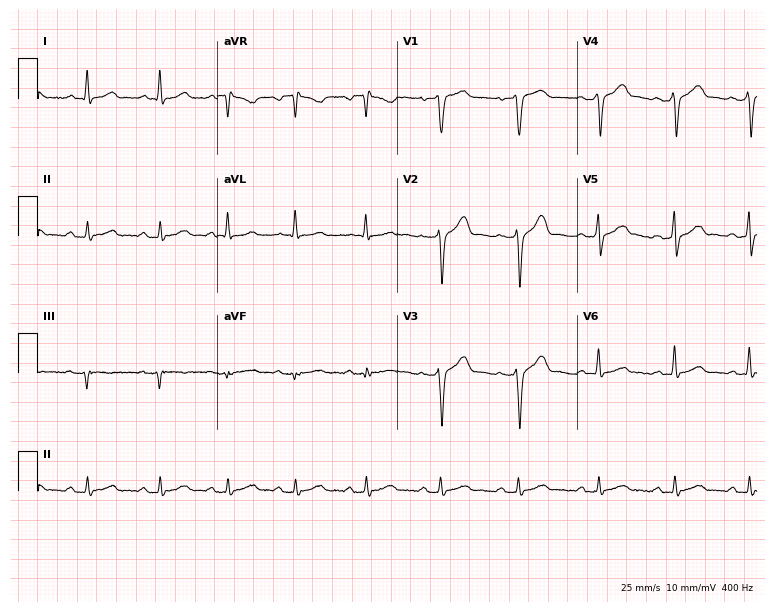
12-lead ECG from a male patient, 50 years old (7.3-second recording at 400 Hz). Recorded interpretation: within normal limits.